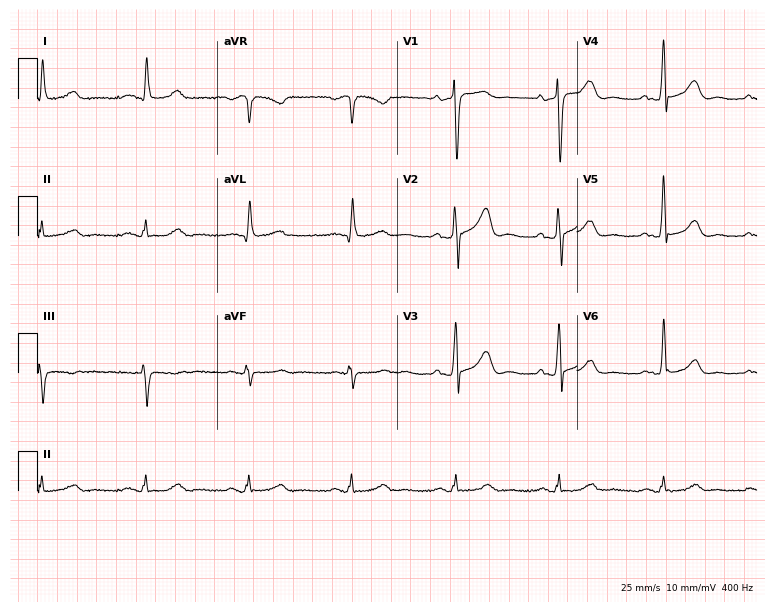
Standard 12-lead ECG recorded from a male, 67 years old. Read as a normal ECG.